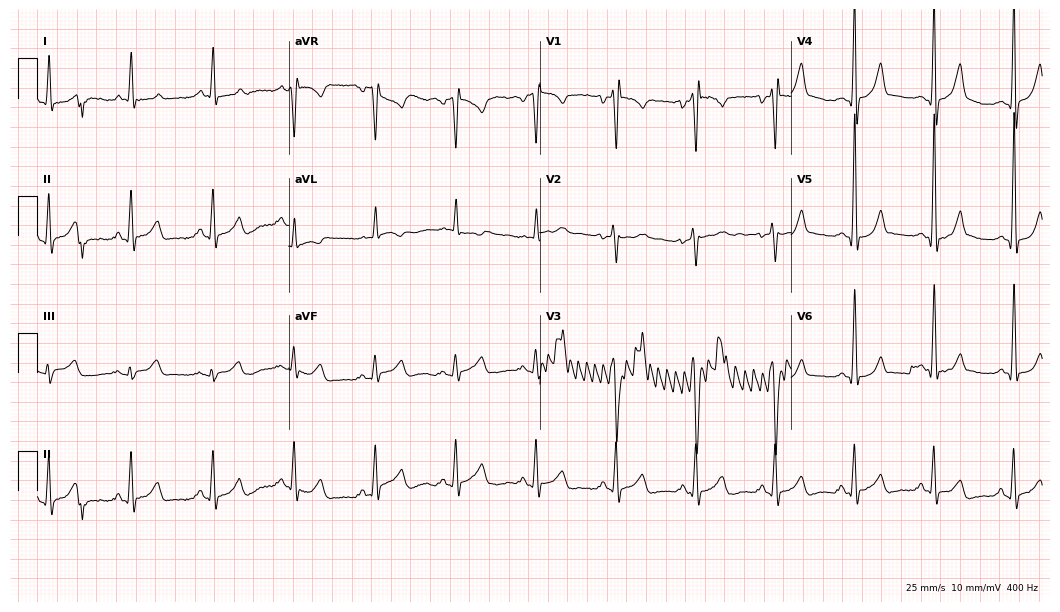
ECG (10.2-second recording at 400 Hz) — a man, 42 years old. Screened for six findings — first-degree AV block, right bundle branch block, left bundle branch block, sinus bradycardia, atrial fibrillation, sinus tachycardia — none is recorded.